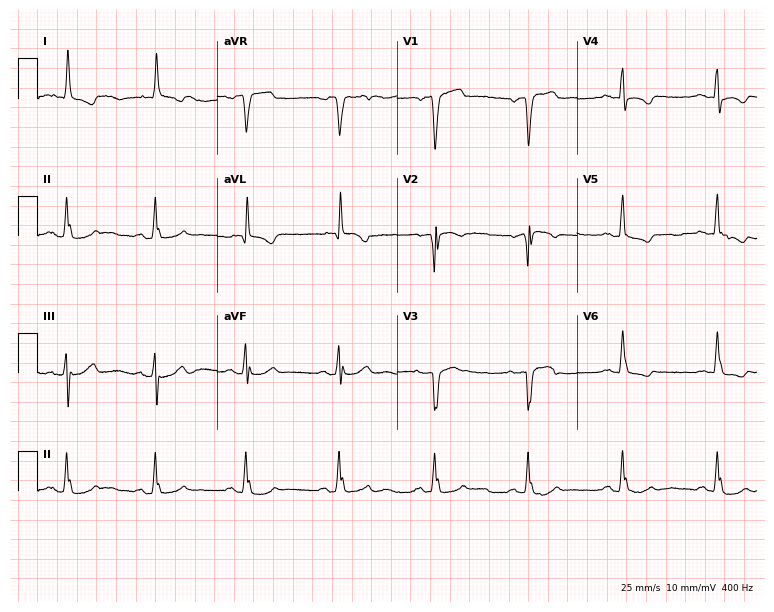
12-lead ECG from a male, 61 years old. Screened for six findings — first-degree AV block, right bundle branch block, left bundle branch block, sinus bradycardia, atrial fibrillation, sinus tachycardia — none is recorded.